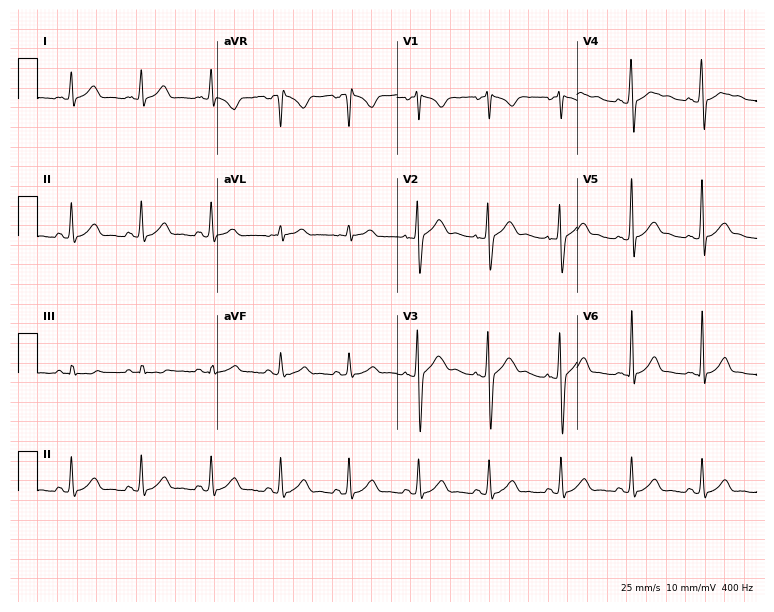
12-lead ECG from a 21-year-old male patient. Screened for six findings — first-degree AV block, right bundle branch block, left bundle branch block, sinus bradycardia, atrial fibrillation, sinus tachycardia — none is recorded. Other findings, if any, are not listed.